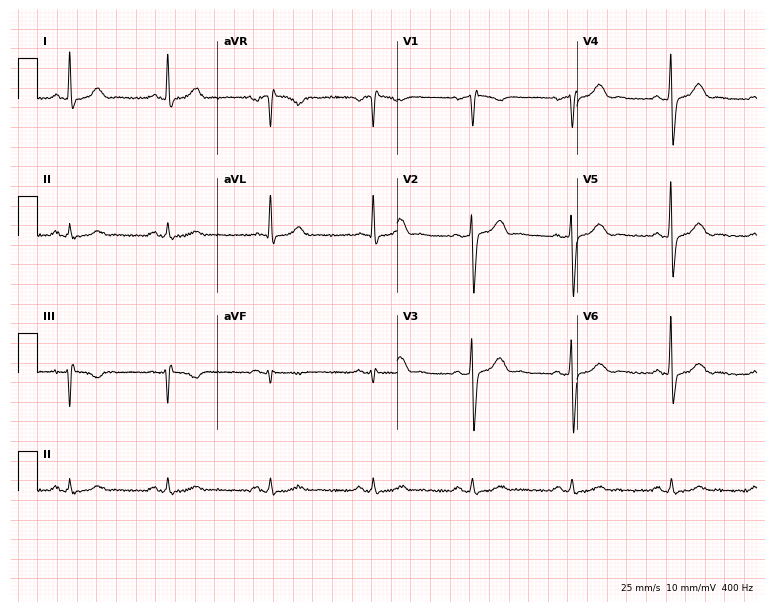
Electrocardiogram, a 51-year-old man. Overall reading on record: normal ECG.